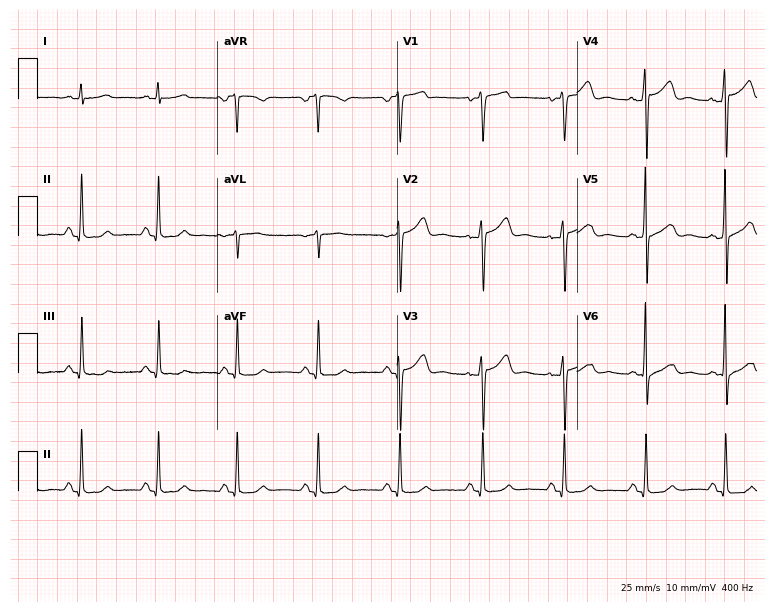
Resting 12-lead electrocardiogram (7.3-second recording at 400 Hz). Patient: a 59-year-old male. Read as a normal ECG.